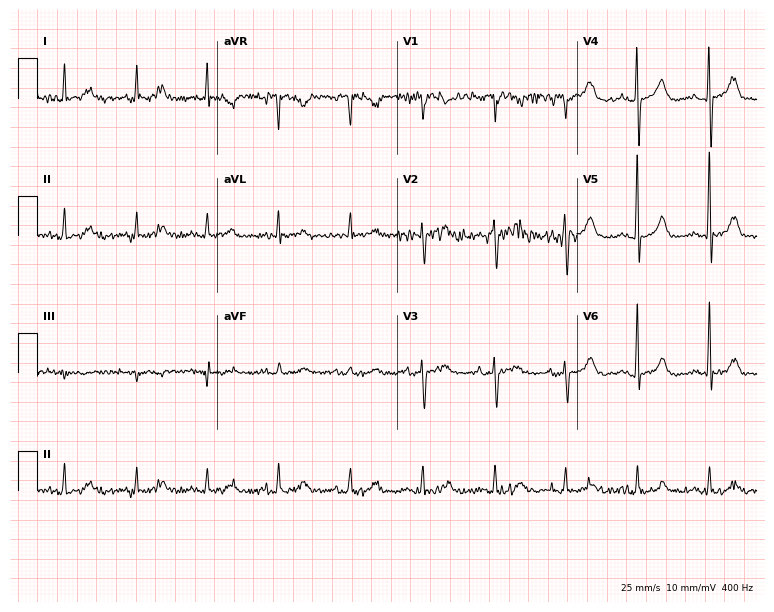
ECG (7.3-second recording at 400 Hz) — a woman, 75 years old. Labelled as a normal ECG.